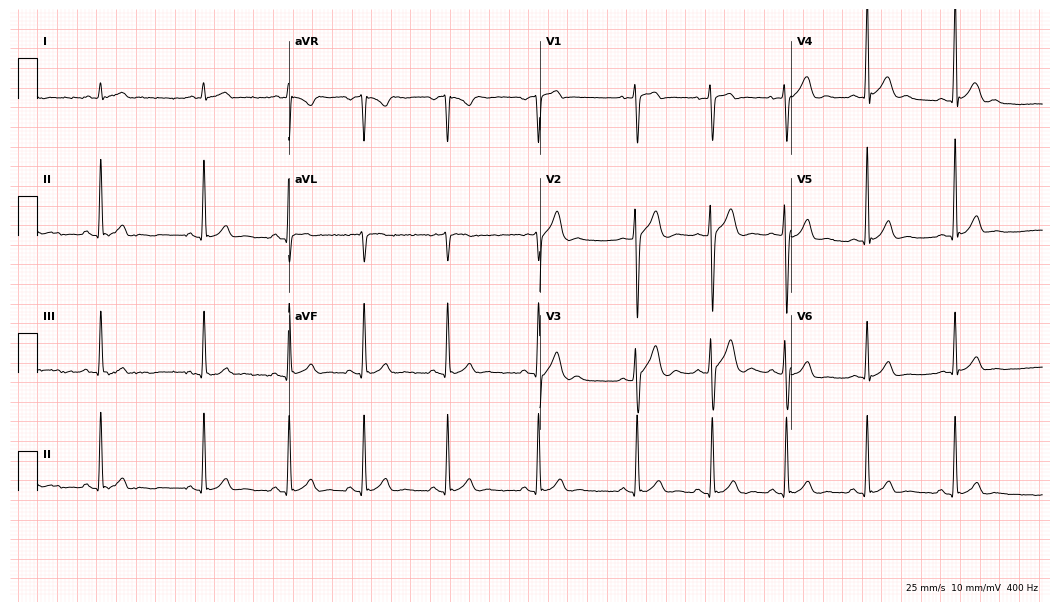
Electrocardiogram, an 18-year-old male. Overall reading on record: normal ECG.